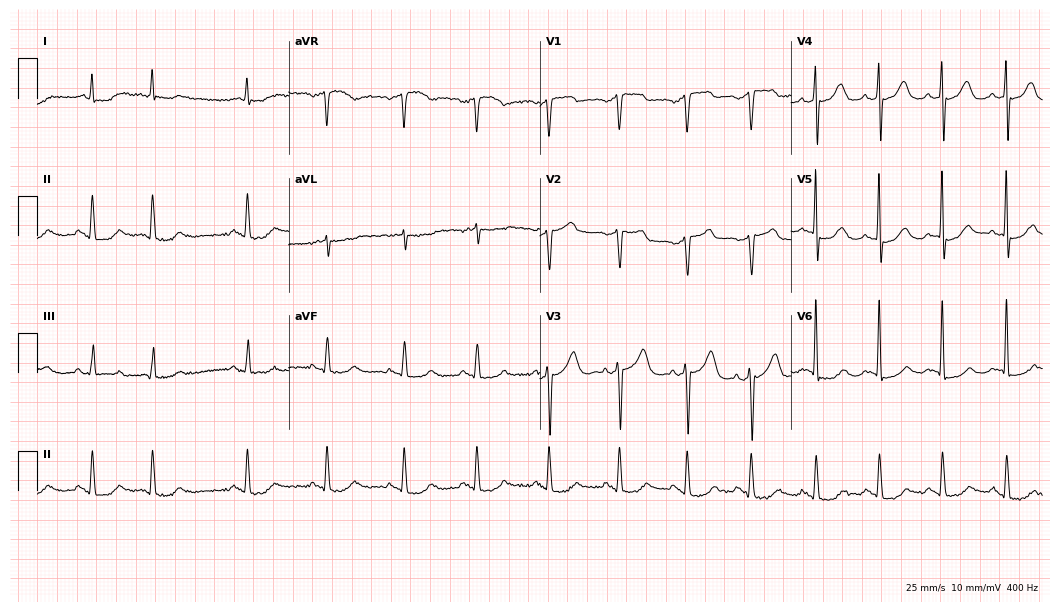
Standard 12-lead ECG recorded from a 62-year-old male patient (10.2-second recording at 400 Hz). None of these six findings is recorded: first-degree AV block, right bundle branch block, left bundle branch block, sinus bradycardia, atrial fibrillation, sinus tachycardia. Other findings, if any, are not listed.